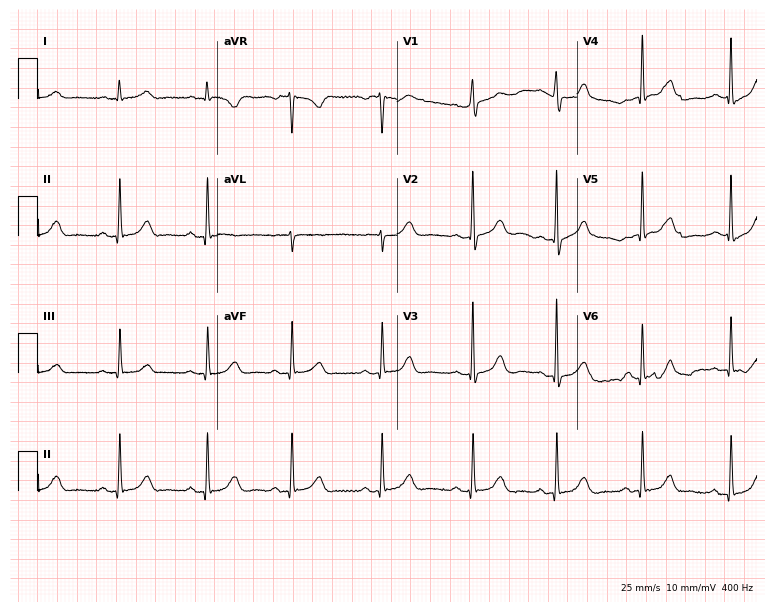
12-lead ECG from a woman, 32 years old (7.3-second recording at 400 Hz). Recorded interpretation: within normal limits.